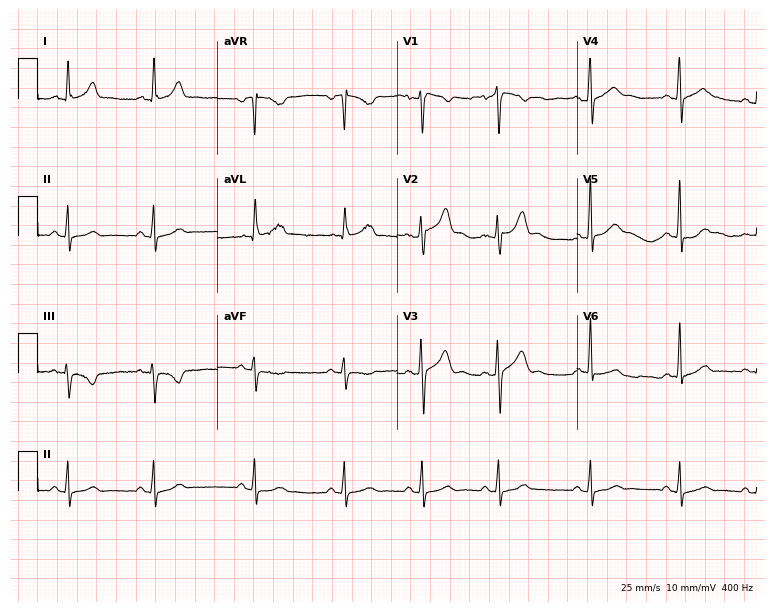
12-lead ECG from a male patient, 26 years old. Labelled as a normal ECG.